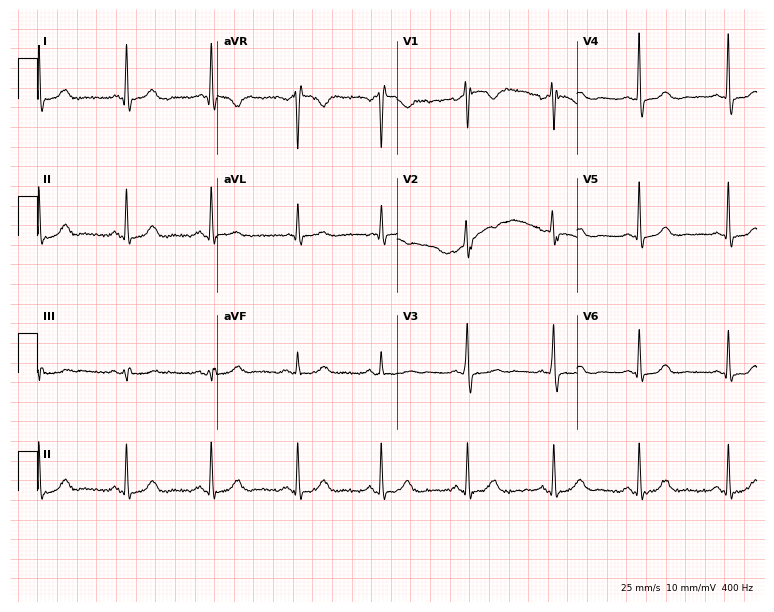
Standard 12-lead ECG recorded from a 39-year-old female patient (7.3-second recording at 400 Hz). None of these six findings is recorded: first-degree AV block, right bundle branch block, left bundle branch block, sinus bradycardia, atrial fibrillation, sinus tachycardia.